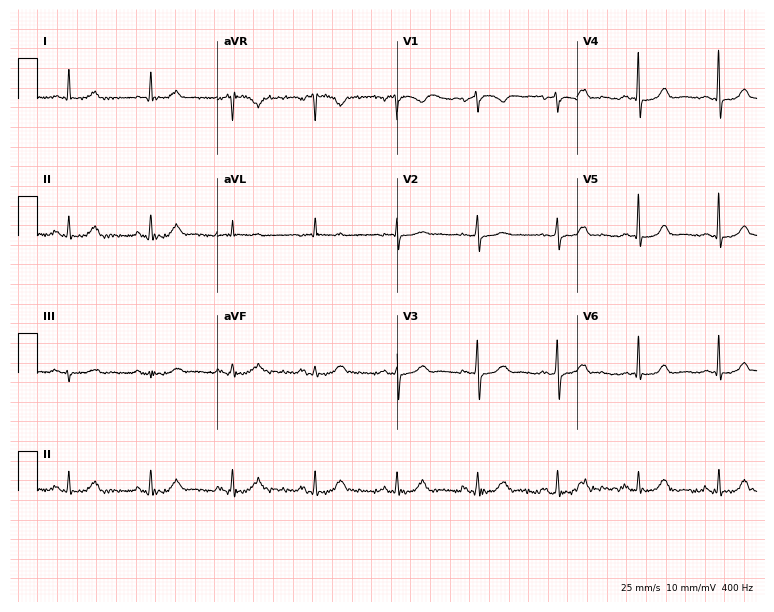
Resting 12-lead electrocardiogram. Patient: a 73-year-old woman. None of these six findings is recorded: first-degree AV block, right bundle branch block, left bundle branch block, sinus bradycardia, atrial fibrillation, sinus tachycardia. Only these six findings were labelled.